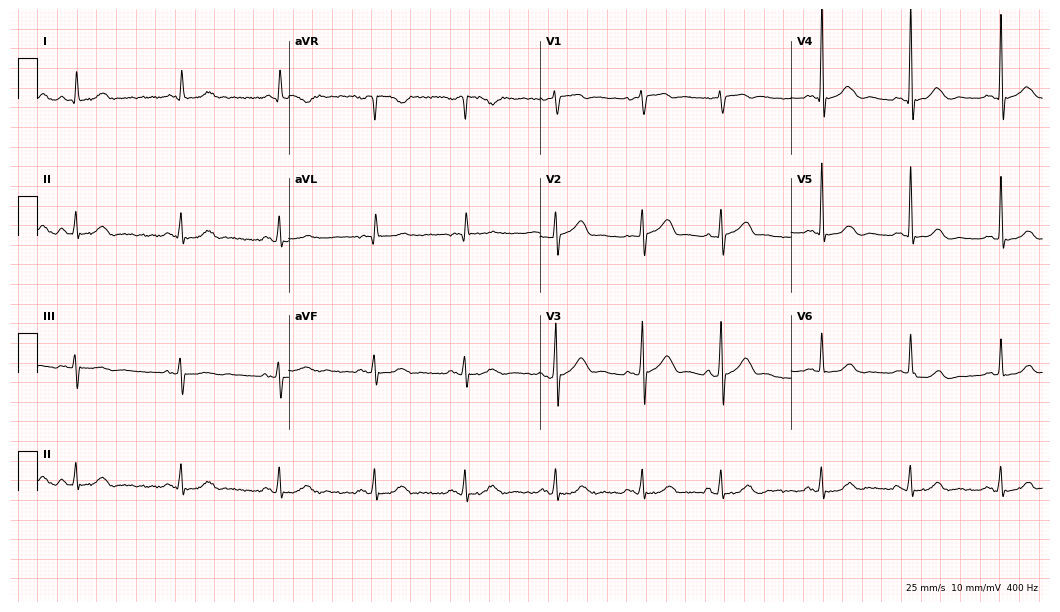
Standard 12-lead ECG recorded from a man, 71 years old (10.2-second recording at 400 Hz). Read as a normal ECG.